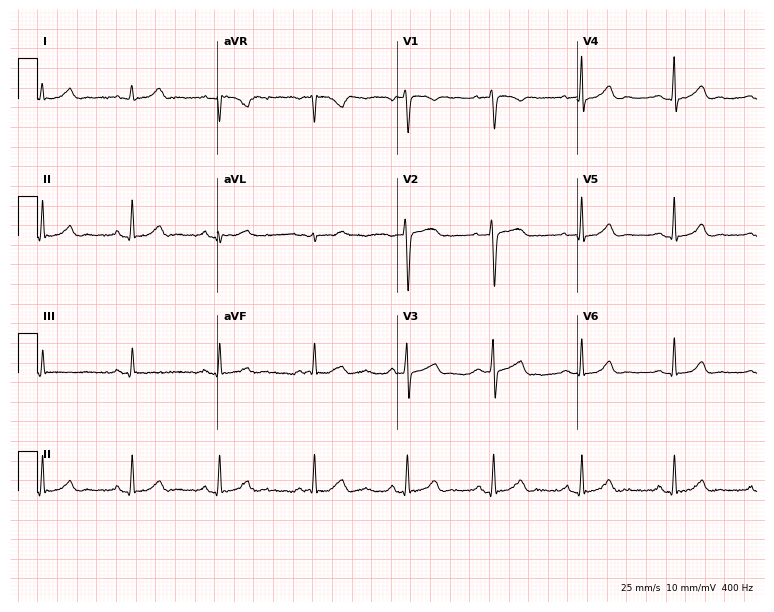
12-lead ECG from a 42-year-old female patient (7.3-second recording at 400 Hz). Recorded interpretation: within normal limits.